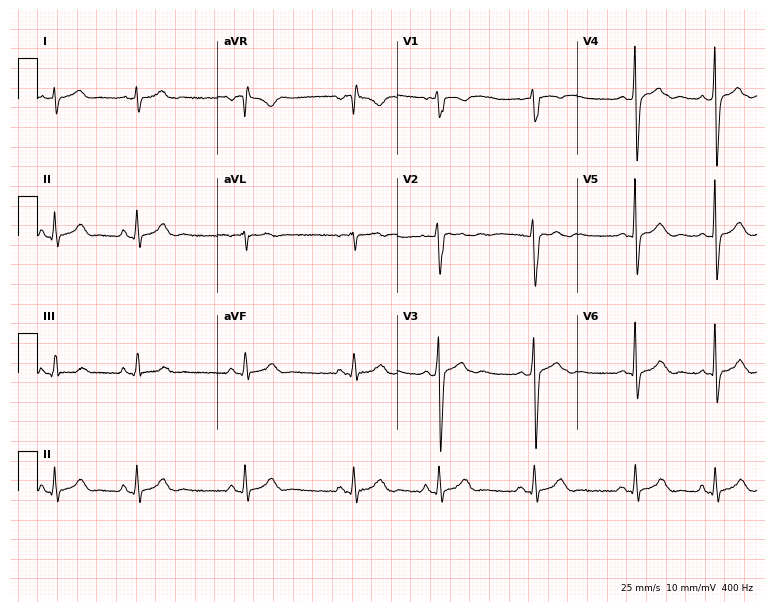
Resting 12-lead electrocardiogram. Patient: a male, 21 years old. Read as a normal ECG.